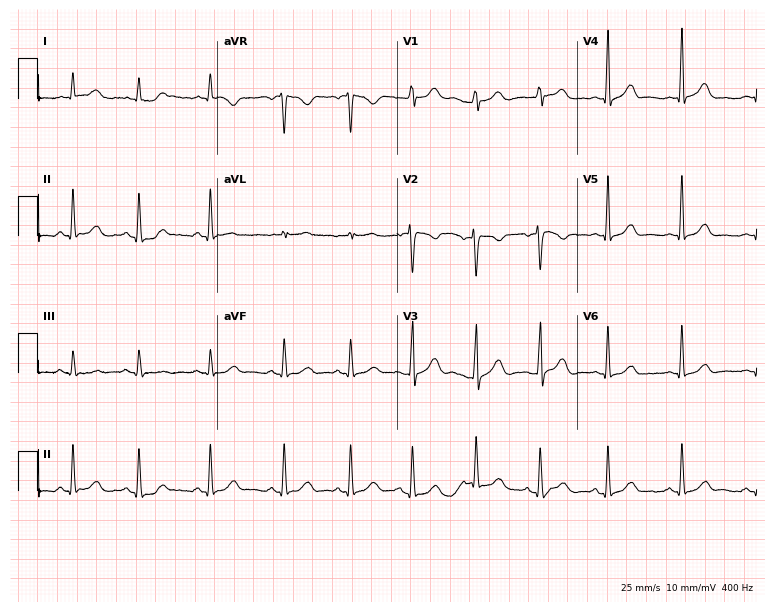
Electrocardiogram, a woman, 36 years old. Overall reading on record: normal ECG.